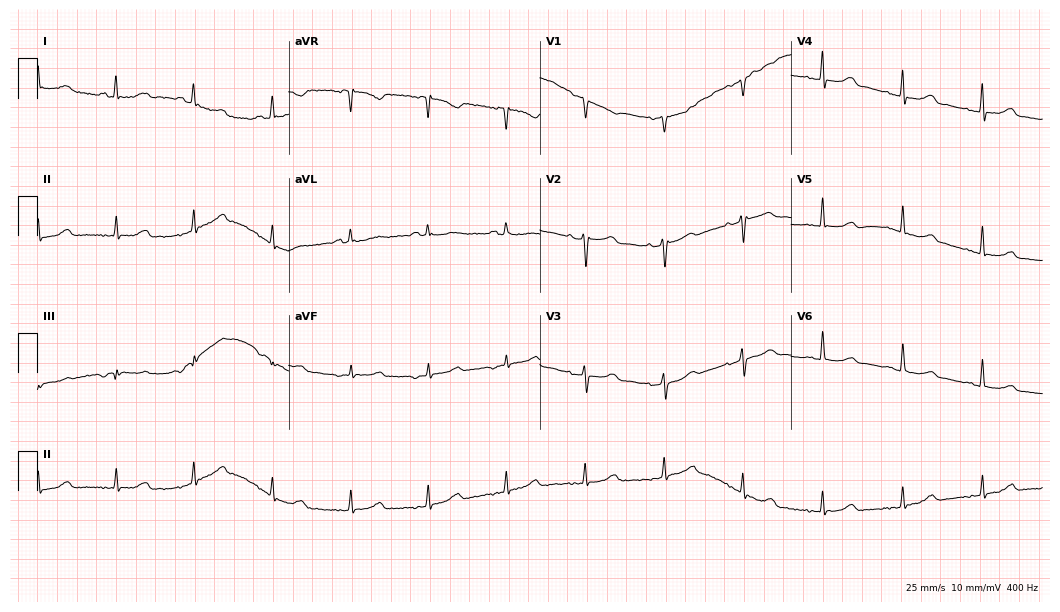
Standard 12-lead ECG recorded from a woman, 70 years old (10.2-second recording at 400 Hz). None of these six findings is recorded: first-degree AV block, right bundle branch block (RBBB), left bundle branch block (LBBB), sinus bradycardia, atrial fibrillation (AF), sinus tachycardia. Only these six findings were labelled.